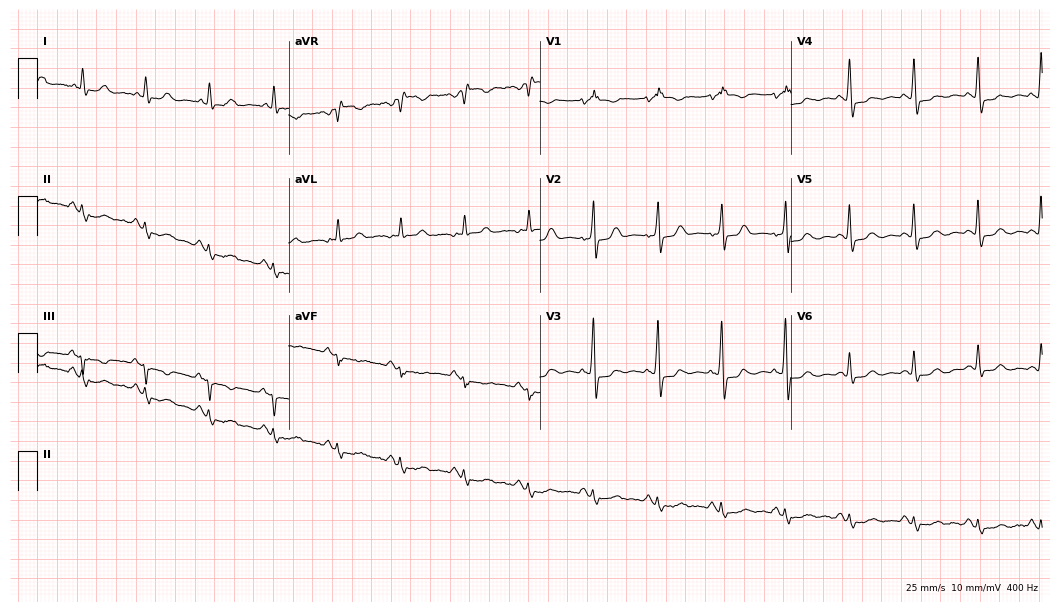
12-lead ECG from a 78-year-old female patient. No first-degree AV block, right bundle branch block, left bundle branch block, sinus bradycardia, atrial fibrillation or sinus tachycardia recorded for this tracing. Only these six findings were labelled.